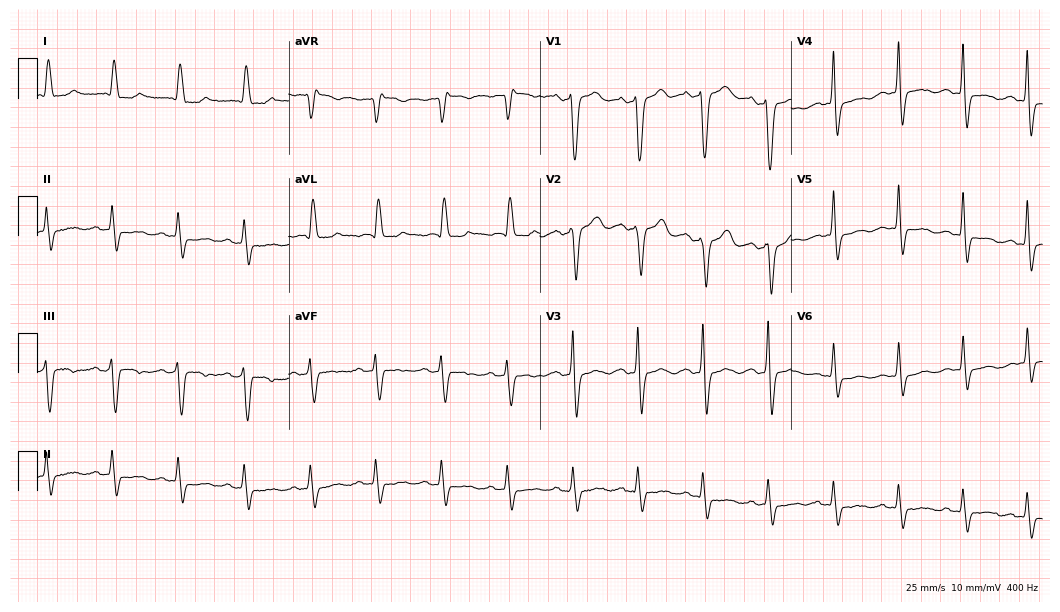
Standard 12-lead ECG recorded from an 82-year-old woman. The tracing shows left bundle branch block.